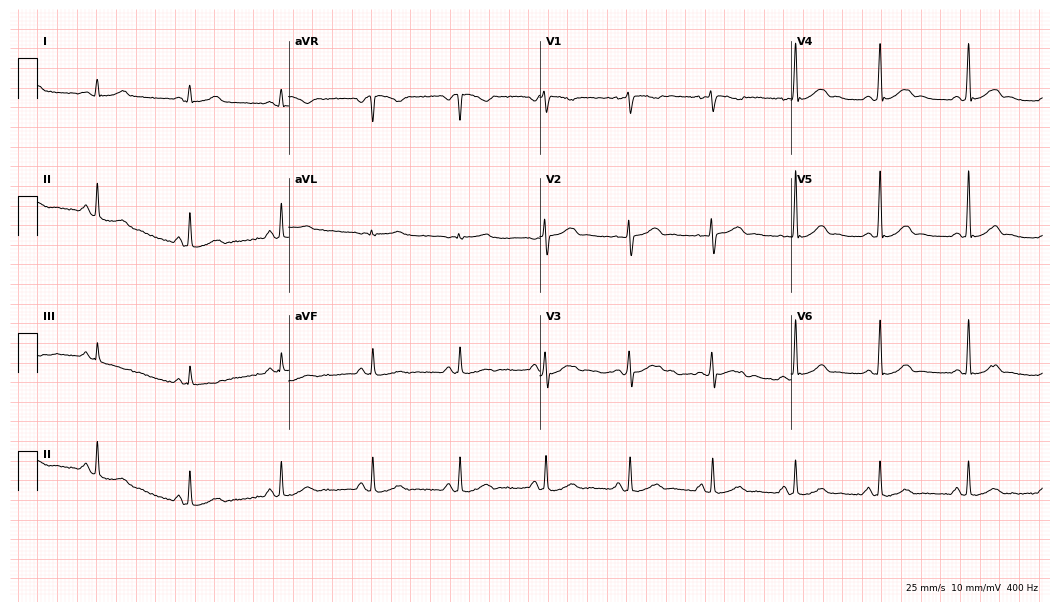
12-lead ECG from a 23-year-old woman. Labelled as a normal ECG.